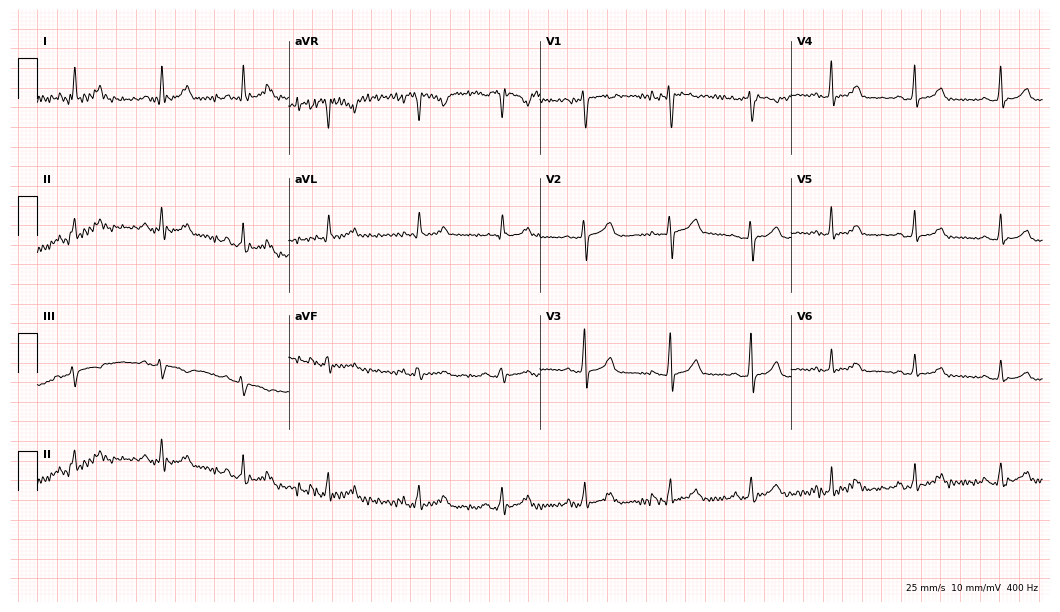
12-lead ECG (10.2-second recording at 400 Hz) from a female, 36 years old. Labelled as a normal ECG.